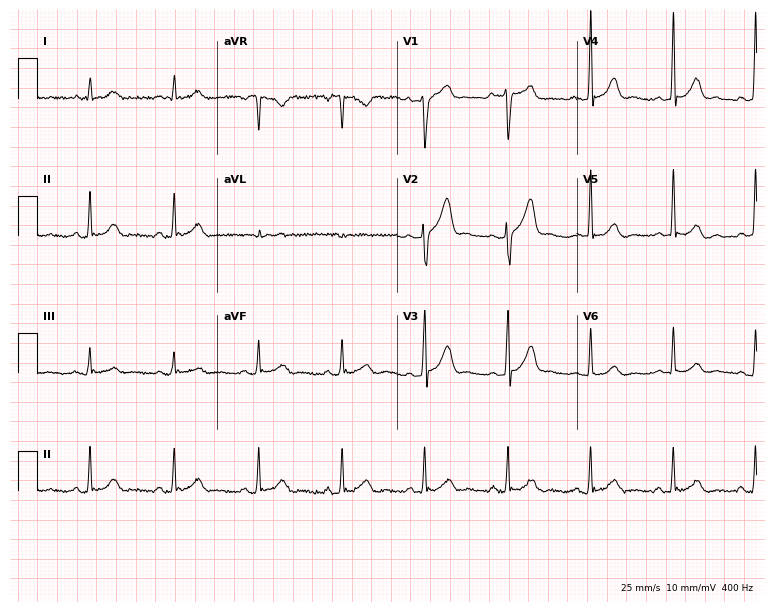
12-lead ECG from a man, 41 years old (7.3-second recording at 400 Hz). Recorded interpretation: within normal limits.